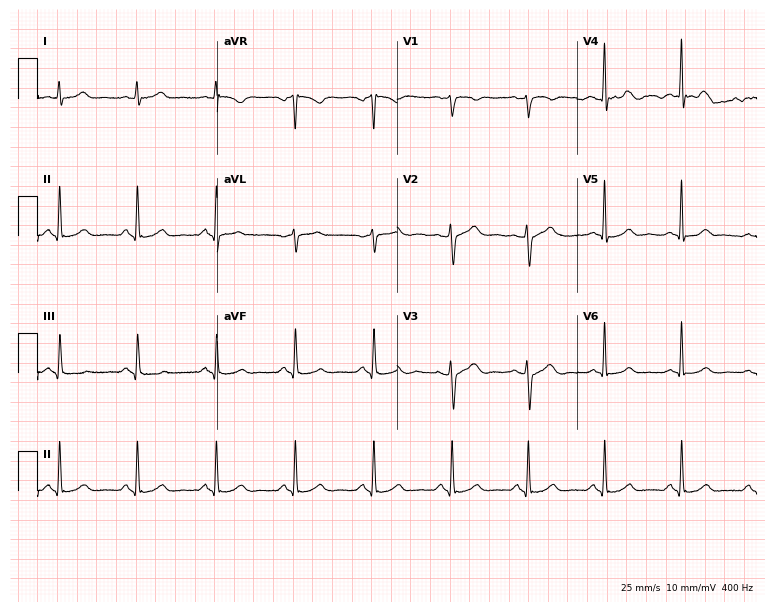
ECG — a 51-year-old female patient. Labelled as a normal ECG.